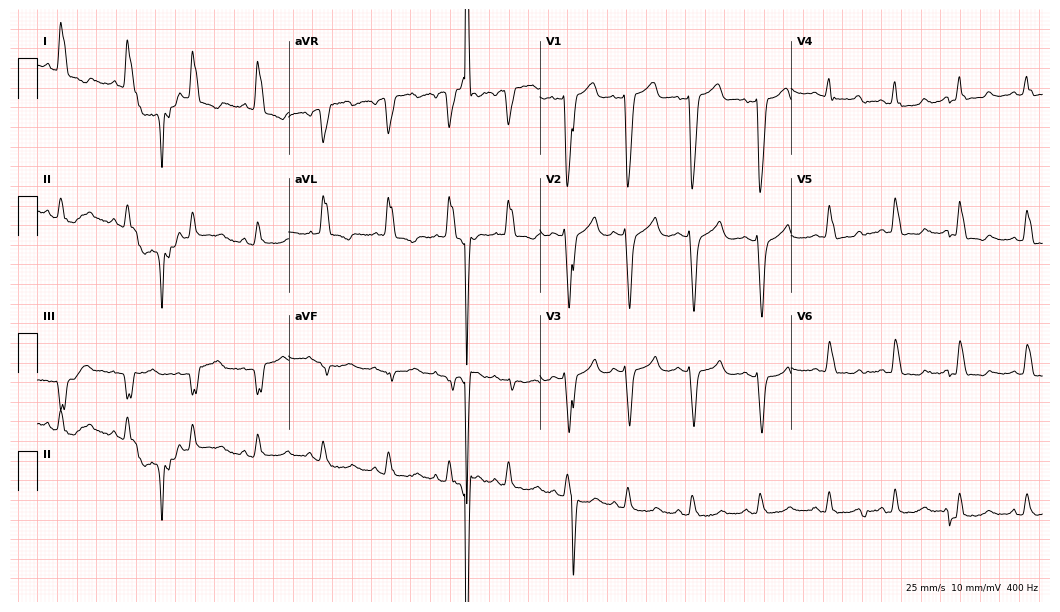
ECG (10.2-second recording at 400 Hz) — a 53-year-old female. Findings include left bundle branch block.